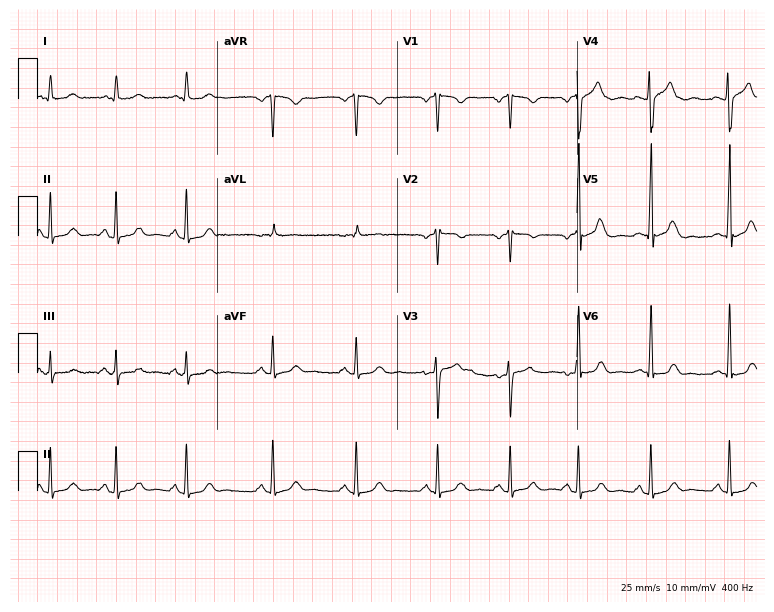
ECG — a 26-year-old woman. Screened for six findings — first-degree AV block, right bundle branch block, left bundle branch block, sinus bradycardia, atrial fibrillation, sinus tachycardia — none is recorded. Only these six findings were labelled.